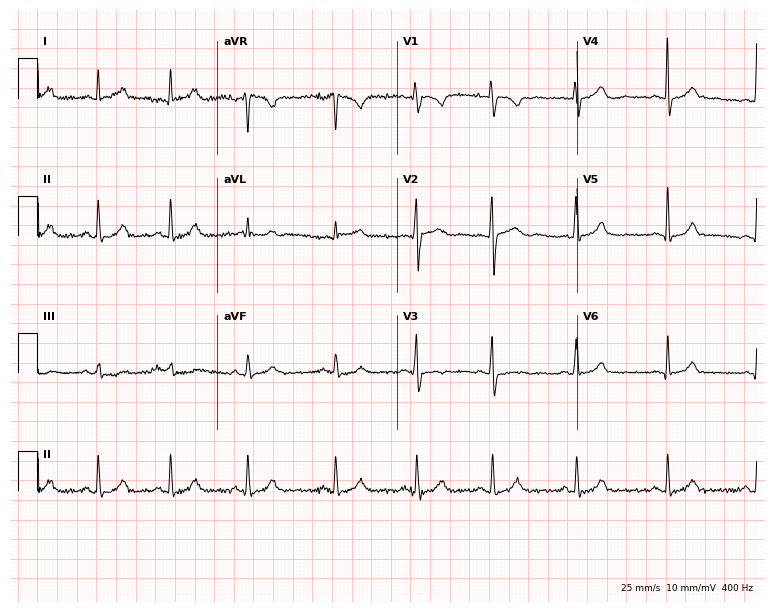
Electrocardiogram, a 29-year-old female. Overall reading on record: normal ECG.